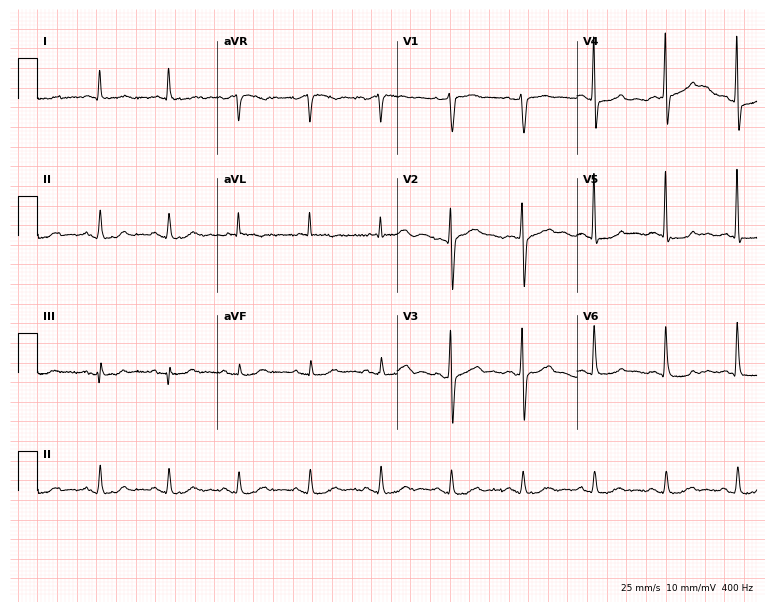
Resting 12-lead electrocardiogram (7.3-second recording at 400 Hz). Patient: a man, 74 years old. Read as a normal ECG.